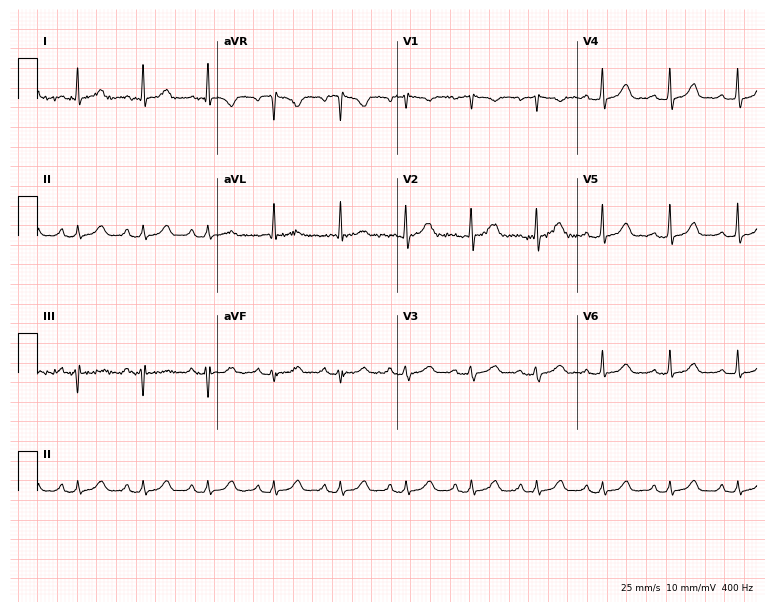
12-lead ECG (7.3-second recording at 400 Hz) from a female patient, 67 years old. Labelled as a normal ECG.